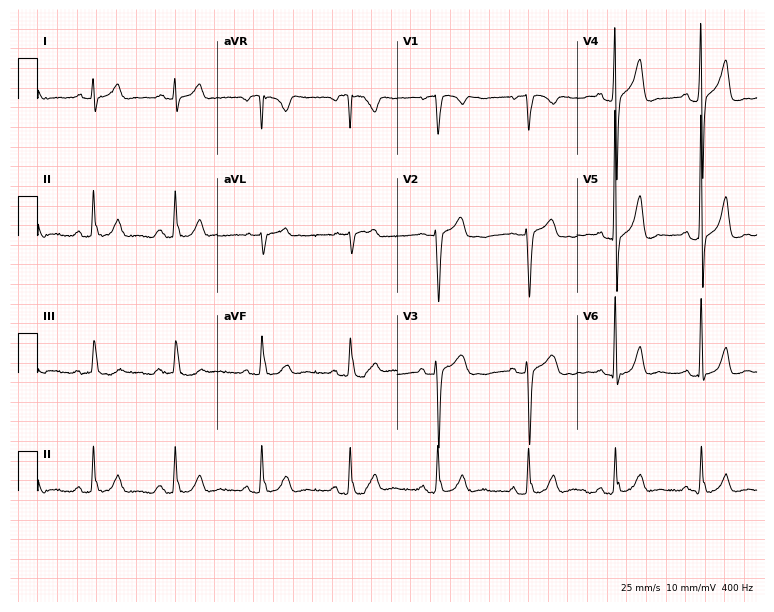
Electrocardiogram (7.3-second recording at 400 Hz), a 33-year-old male. Overall reading on record: normal ECG.